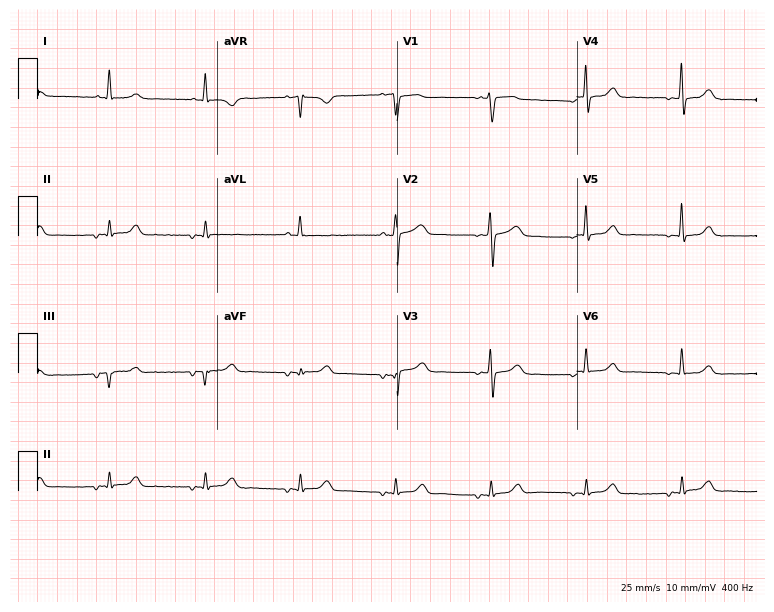
ECG (7.3-second recording at 400 Hz) — a 67-year-old woman. Screened for six findings — first-degree AV block, right bundle branch block, left bundle branch block, sinus bradycardia, atrial fibrillation, sinus tachycardia — none is recorded. Only these six findings were labelled.